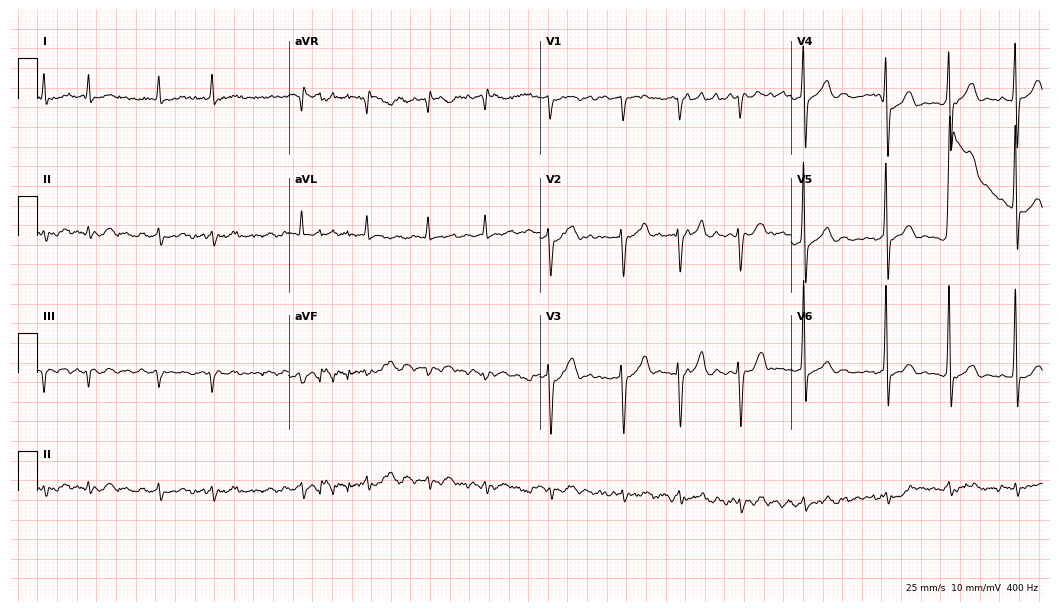
ECG (10.2-second recording at 400 Hz) — a male, 84 years old. Findings include atrial fibrillation.